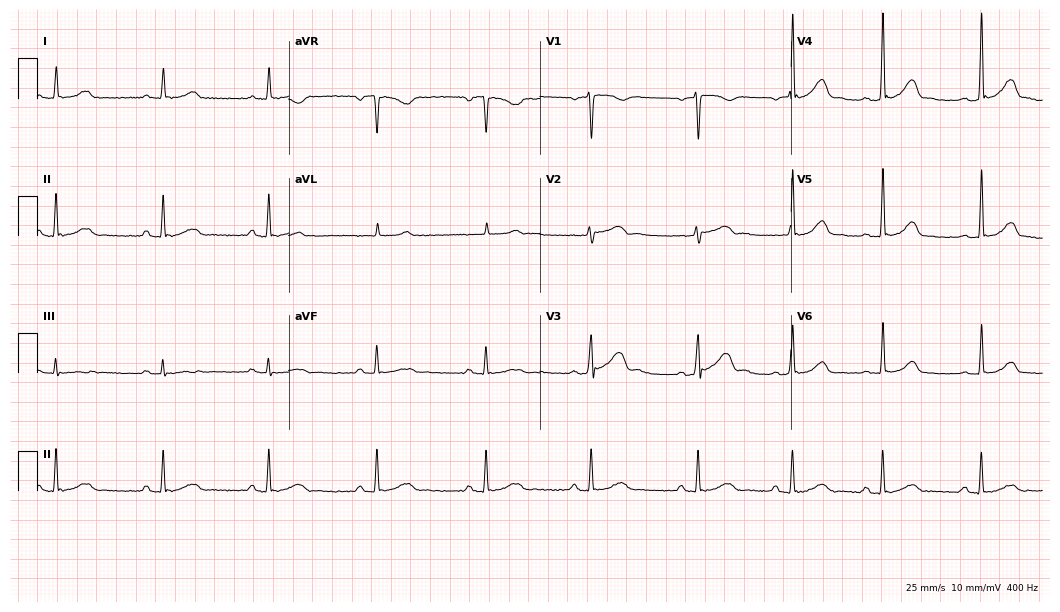
ECG — a 52-year-old male. Screened for six findings — first-degree AV block, right bundle branch block (RBBB), left bundle branch block (LBBB), sinus bradycardia, atrial fibrillation (AF), sinus tachycardia — none is recorded. Findings outside these six are not listed.